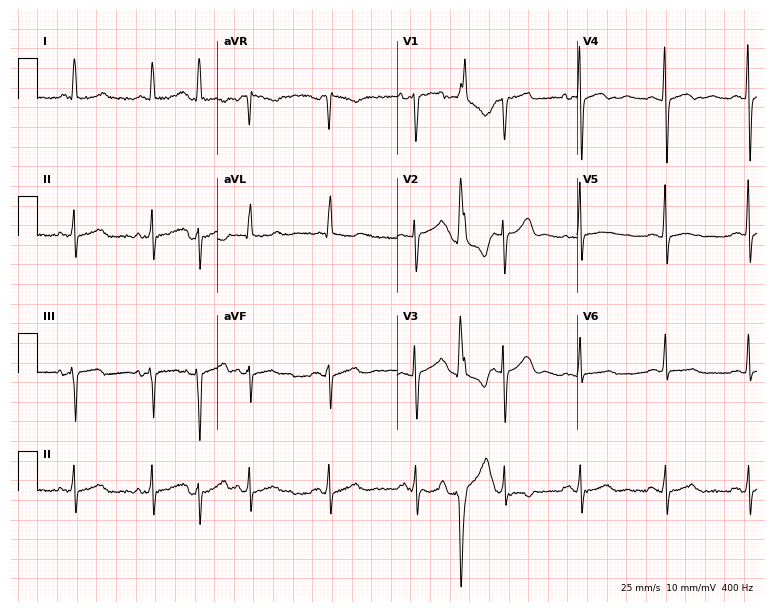
12-lead ECG (7.3-second recording at 400 Hz) from a female, 57 years old. Screened for six findings — first-degree AV block, right bundle branch block, left bundle branch block, sinus bradycardia, atrial fibrillation, sinus tachycardia — none is recorded.